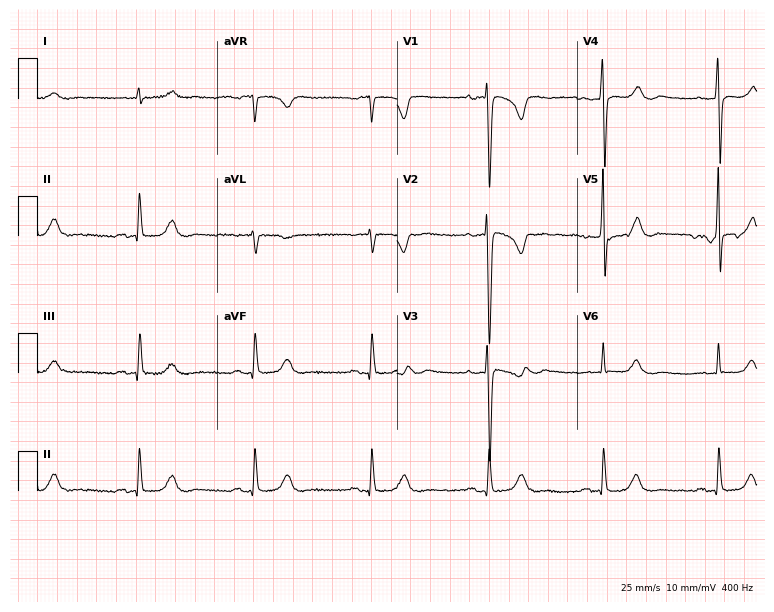
Resting 12-lead electrocardiogram. Patient: a 77-year-old male. None of these six findings is recorded: first-degree AV block, right bundle branch block, left bundle branch block, sinus bradycardia, atrial fibrillation, sinus tachycardia. Findings outside these six are not listed.